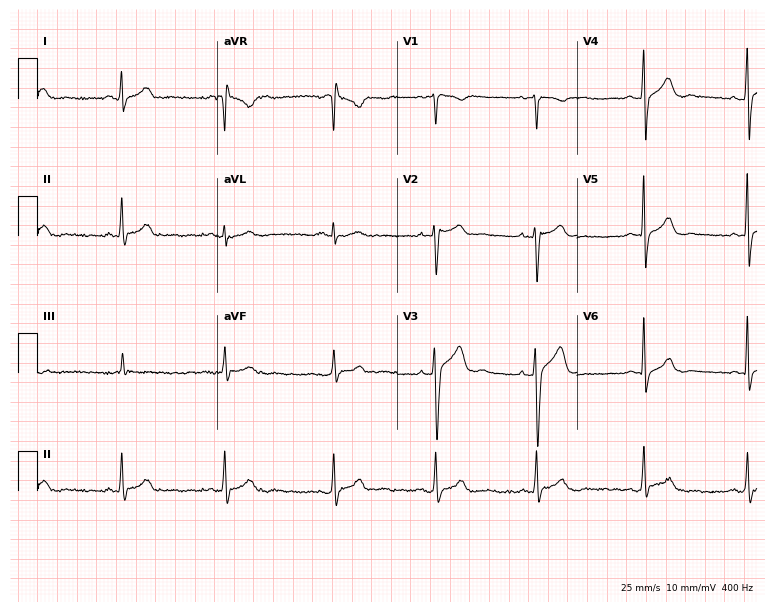
ECG (7.3-second recording at 400 Hz) — a man, 25 years old. Labelled as a normal ECG.